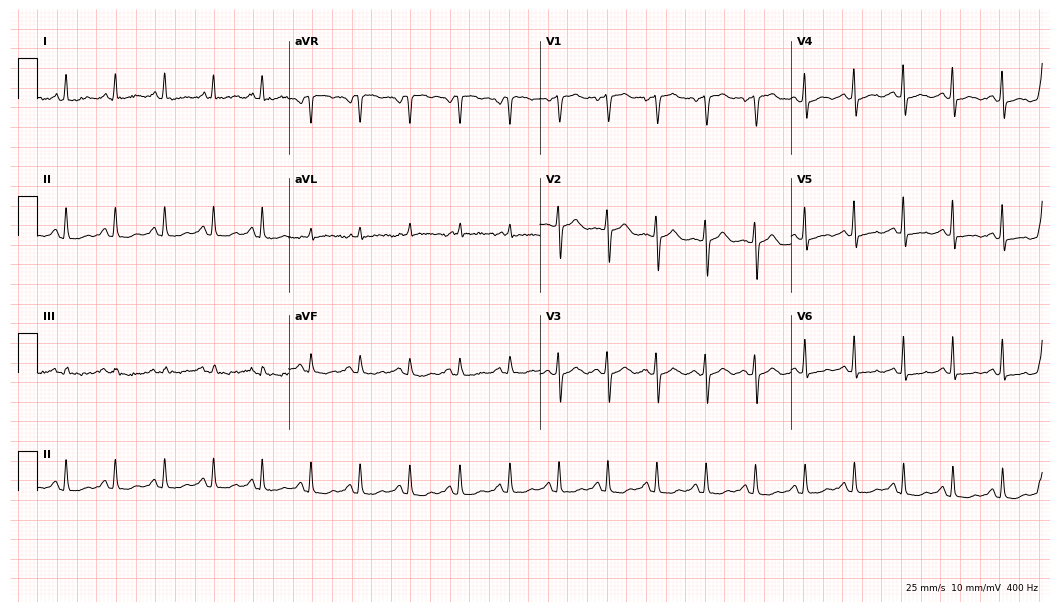
ECG — a woman, 65 years old. Findings include sinus tachycardia (a sinus rate of 100 beats per minute or more).